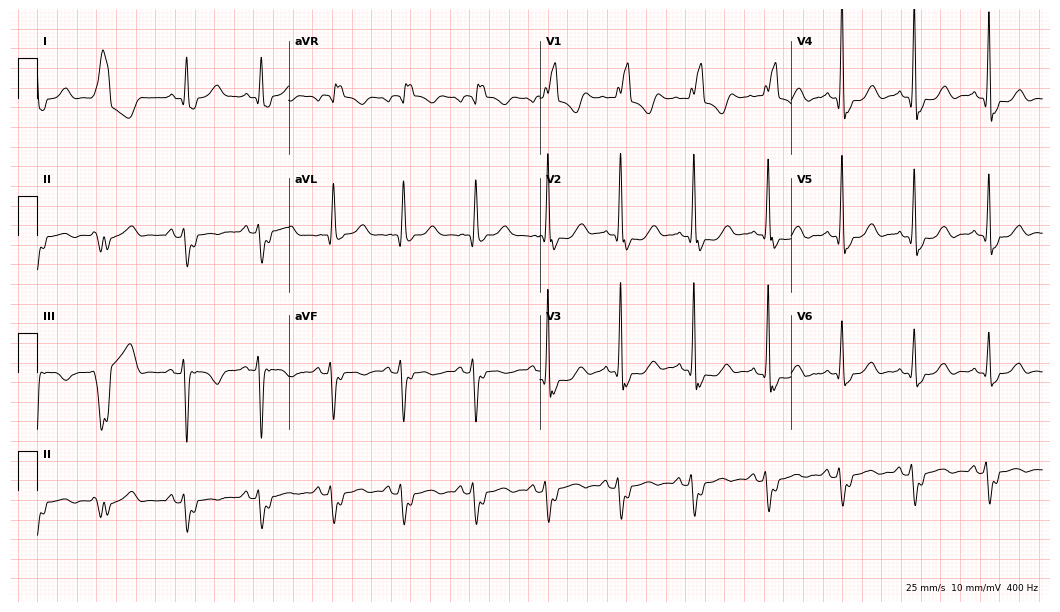
ECG (10.2-second recording at 400 Hz) — a male, 61 years old. Screened for six findings — first-degree AV block, right bundle branch block, left bundle branch block, sinus bradycardia, atrial fibrillation, sinus tachycardia — none is recorded.